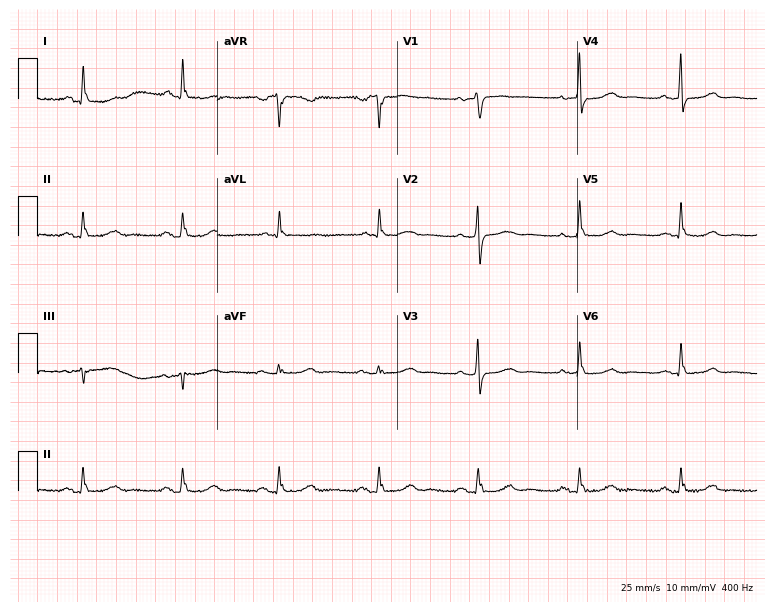
Standard 12-lead ECG recorded from a woman, 85 years old (7.3-second recording at 400 Hz). Read as a normal ECG.